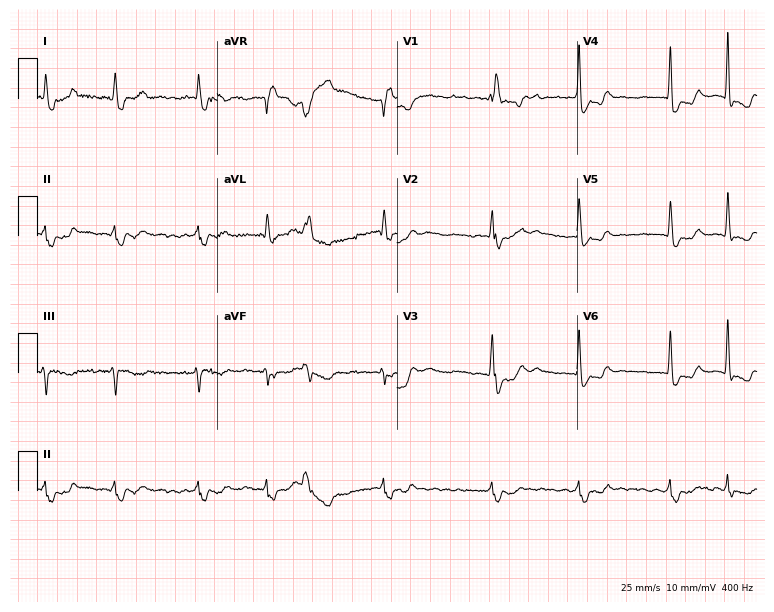
ECG (7.3-second recording at 400 Hz) — a 73-year-old female patient. Findings include right bundle branch block, atrial fibrillation.